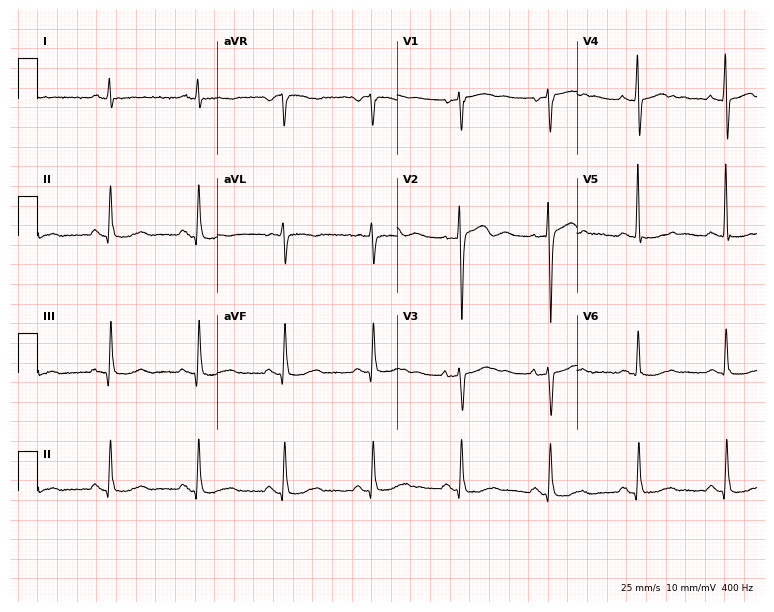
ECG — a male, 76 years old. Screened for six findings — first-degree AV block, right bundle branch block (RBBB), left bundle branch block (LBBB), sinus bradycardia, atrial fibrillation (AF), sinus tachycardia — none is recorded. Other findings, if any, are not listed.